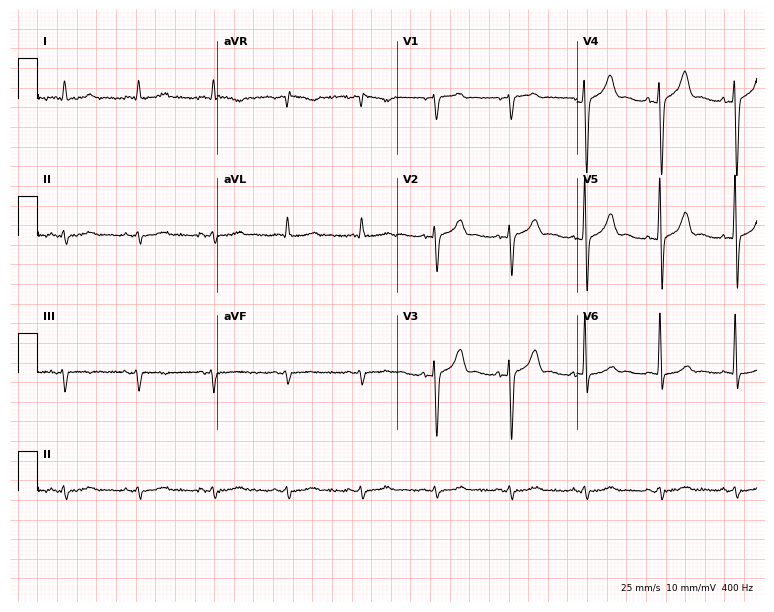
Electrocardiogram, a 76-year-old male. Of the six screened findings (first-degree AV block, right bundle branch block (RBBB), left bundle branch block (LBBB), sinus bradycardia, atrial fibrillation (AF), sinus tachycardia), none is recorded.